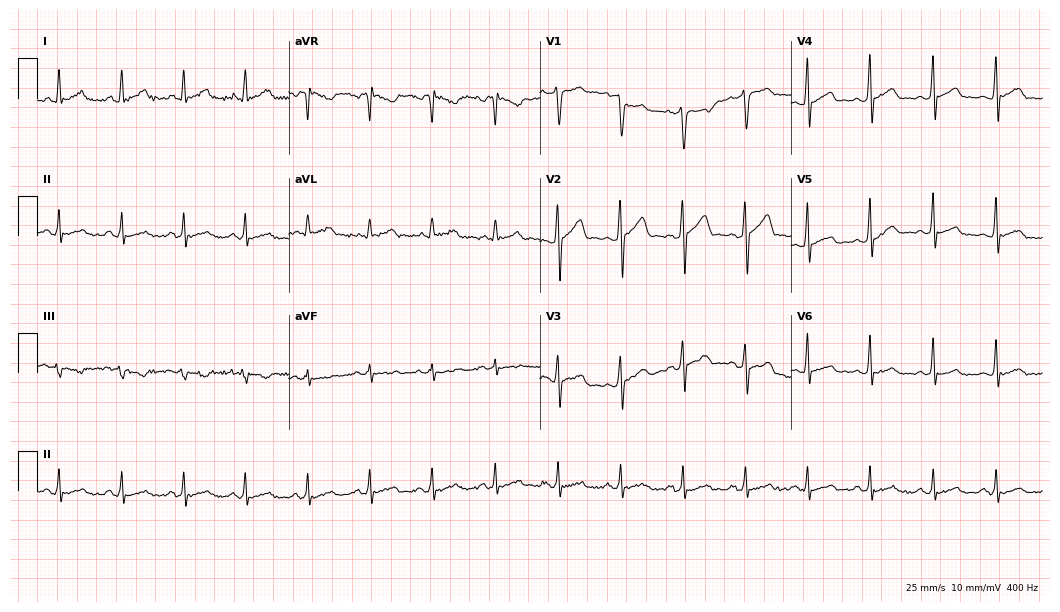
Standard 12-lead ECG recorded from a male, 29 years old. Read as a normal ECG.